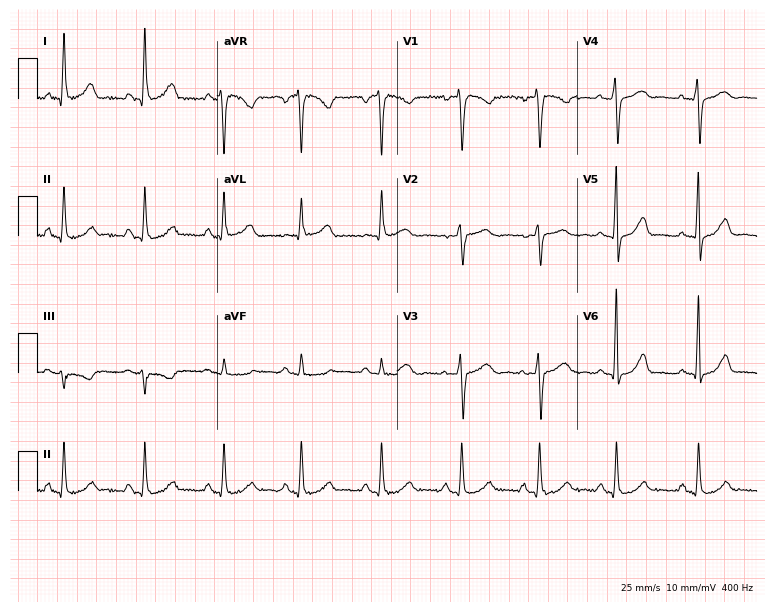
Resting 12-lead electrocardiogram (7.3-second recording at 400 Hz). Patient: a 54-year-old female. Read as a normal ECG.